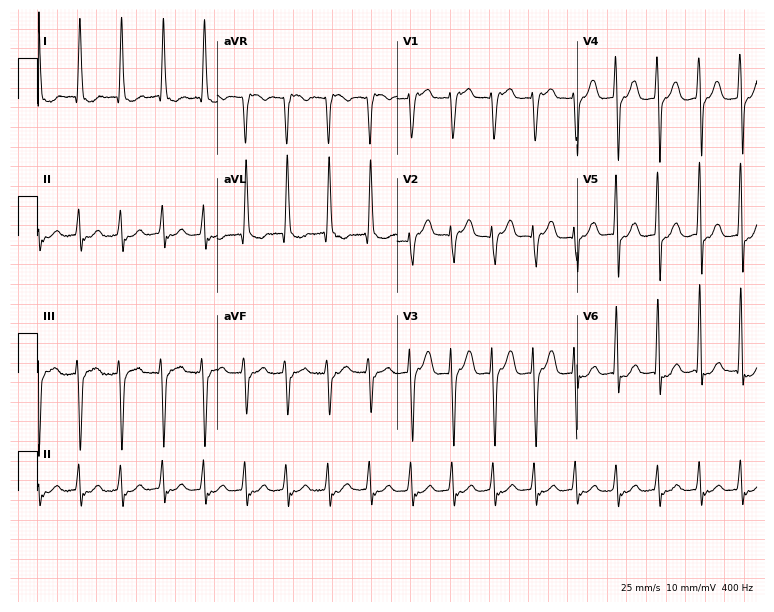
Standard 12-lead ECG recorded from a male, 81 years old. None of these six findings is recorded: first-degree AV block, right bundle branch block (RBBB), left bundle branch block (LBBB), sinus bradycardia, atrial fibrillation (AF), sinus tachycardia. Only these six findings were labelled.